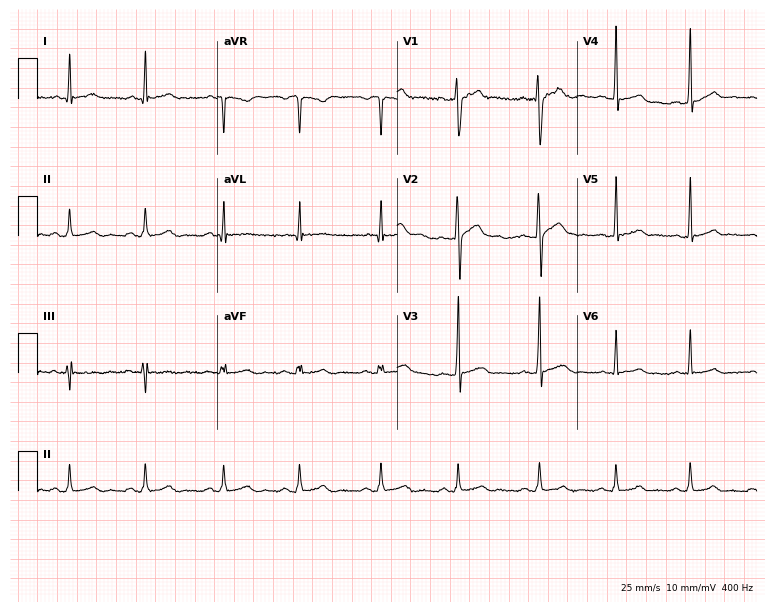
12-lead ECG from a 32-year-old man. No first-degree AV block, right bundle branch block, left bundle branch block, sinus bradycardia, atrial fibrillation or sinus tachycardia recorded for this tracing.